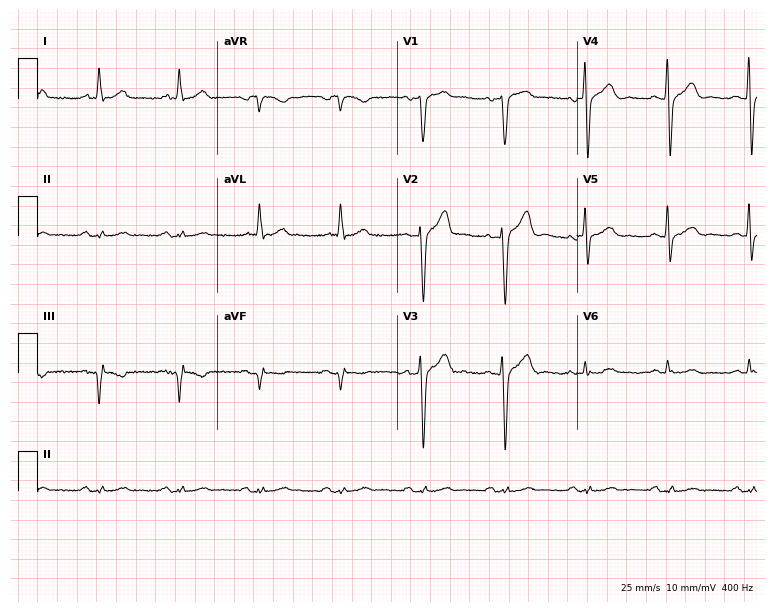
Resting 12-lead electrocardiogram (7.3-second recording at 400 Hz). Patient: a male, 61 years old. Read as a normal ECG.